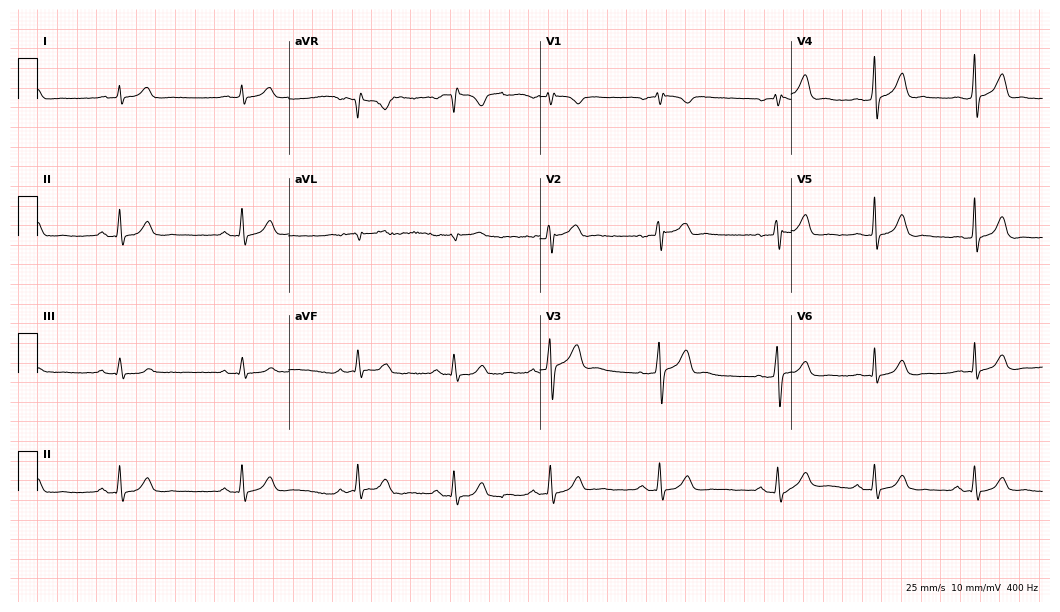
12-lead ECG from a 33-year-old man (10.2-second recording at 400 Hz). No first-degree AV block, right bundle branch block, left bundle branch block, sinus bradycardia, atrial fibrillation or sinus tachycardia recorded for this tracing.